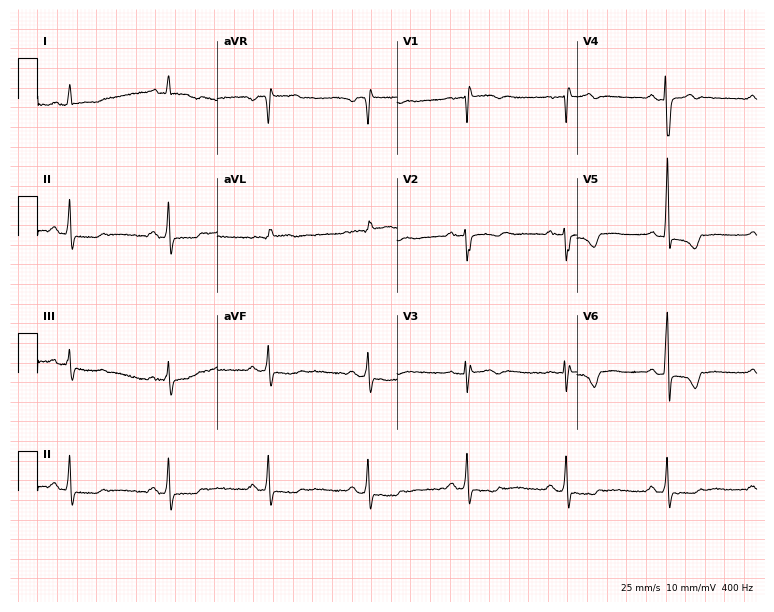
ECG — a 62-year-old woman. Screened for six findings — first-degree AV block, right bundle branch block, left bundle branch block, sinus bradycardia, atrial fibrillation, sinus tachycardia — none is recorded.